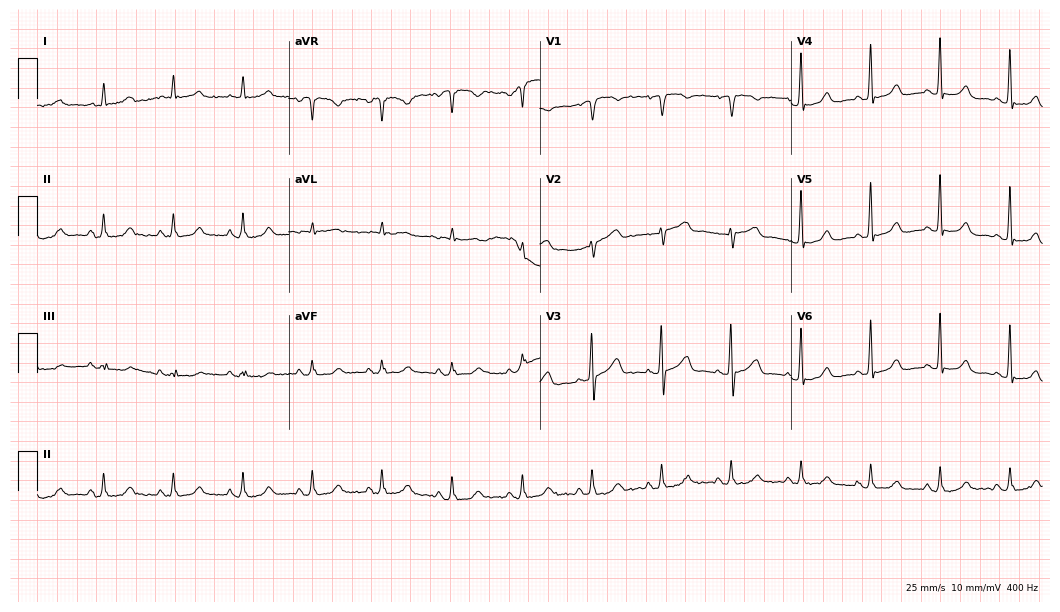
Resting 12-lead electrocardiogram (10.2-second recording at 400 Hz). Patient: an 80-year-old woman. Read as a normal ECG.